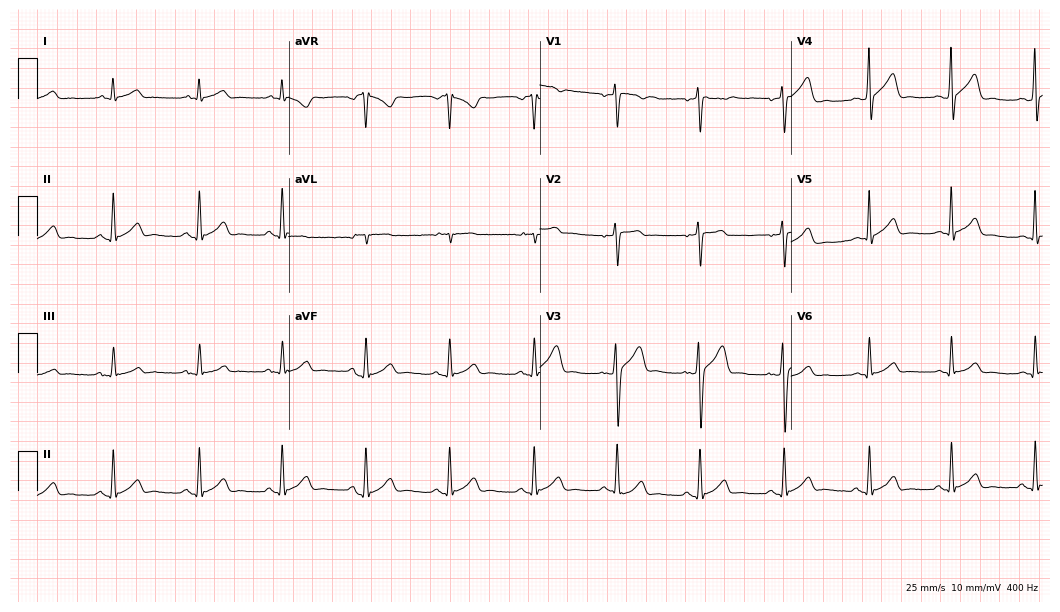
Standard 12-lead ECG recorded from a 33-year-old man. Read as a normal ECG.